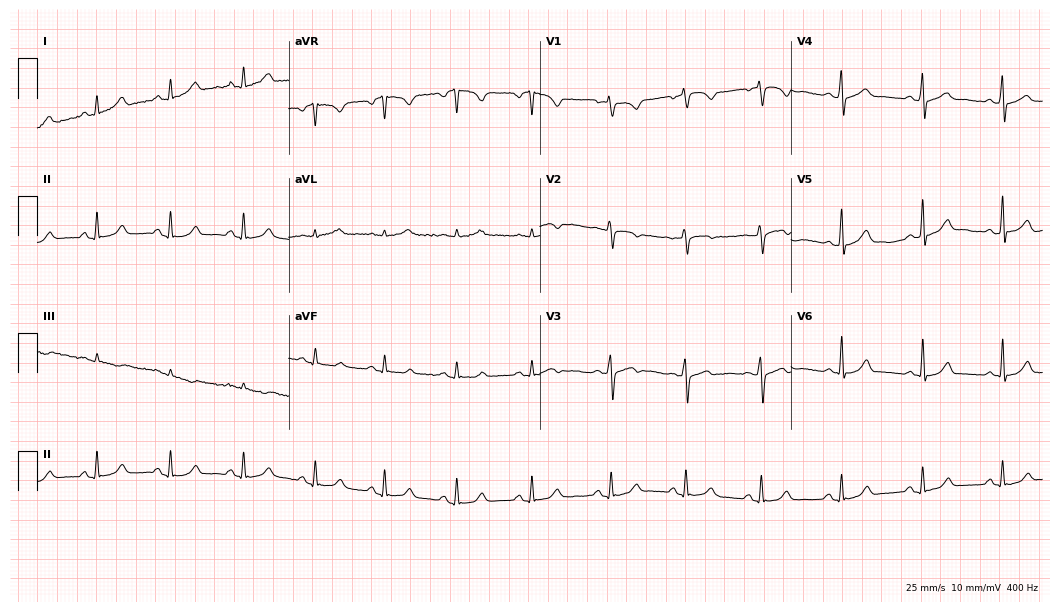
ECG (10.2-second recording at 400 Hz) — a female, 47 years old. Labelled as a normal ECG.